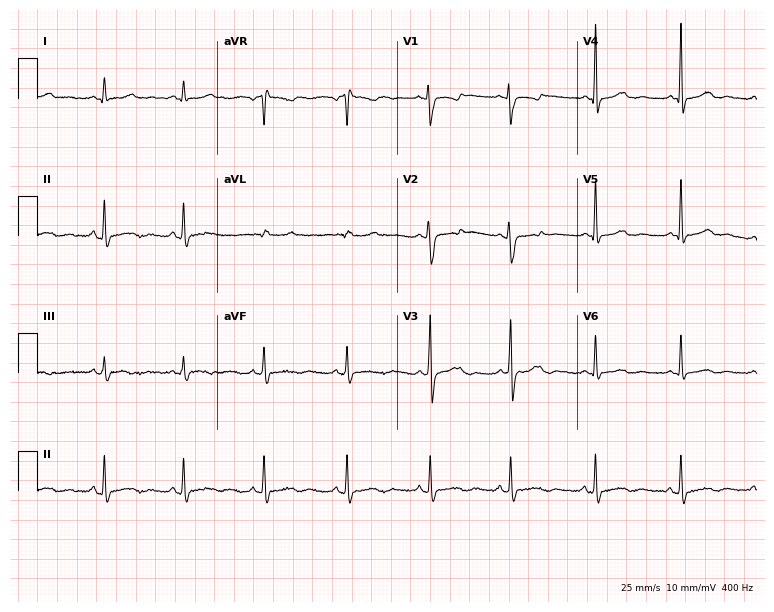
12-lead ECG from a female, 26 years old (7.3-second recording at 400 Hz). Recorded interpretation: within normal limits.